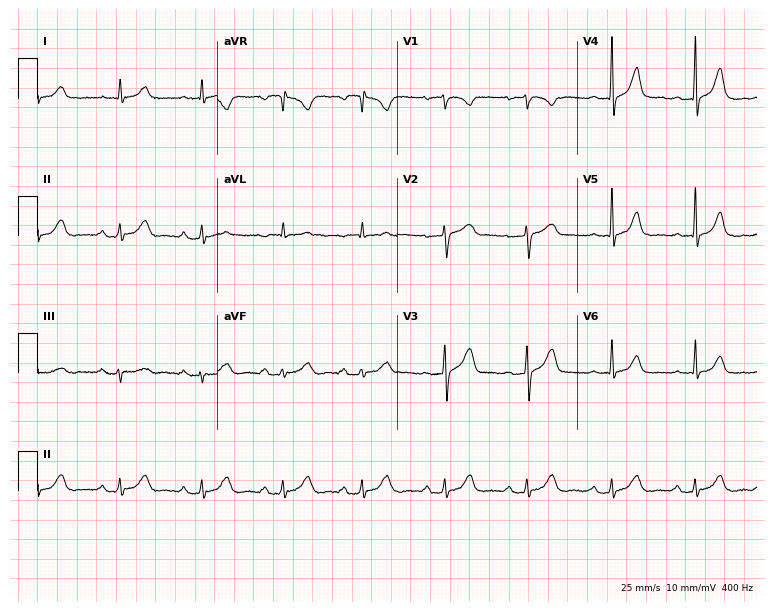
12-lead ECG (7.3-second recording at 400 Hz) from a male, 56 years old. Labelled as a normal ECG.